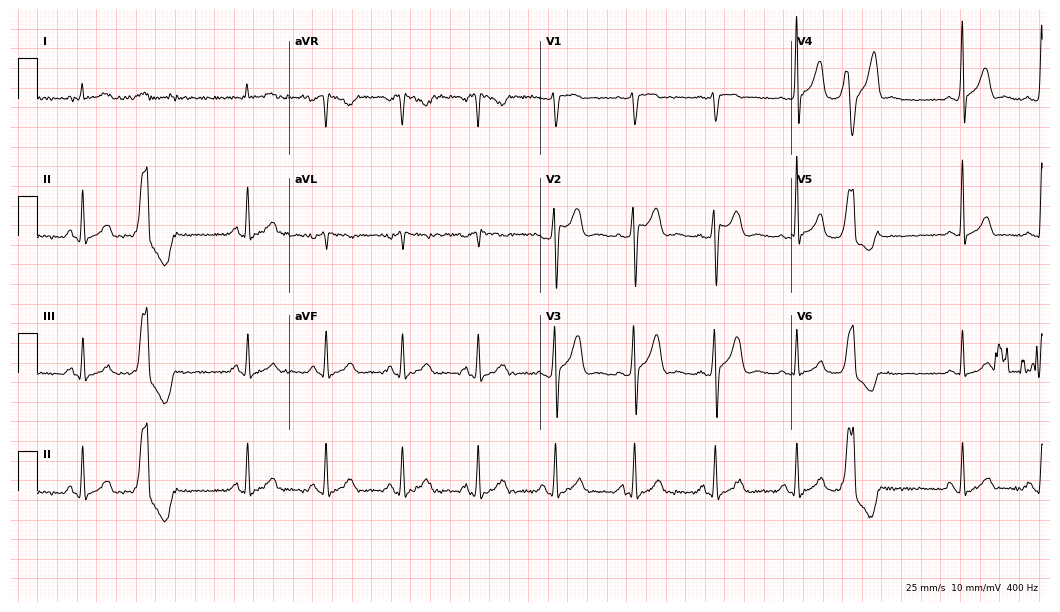
Electrocardiogram (10.2-second recording at 400 Hz), a 54-year-old male patient. Overall reading on record: normal ECG.